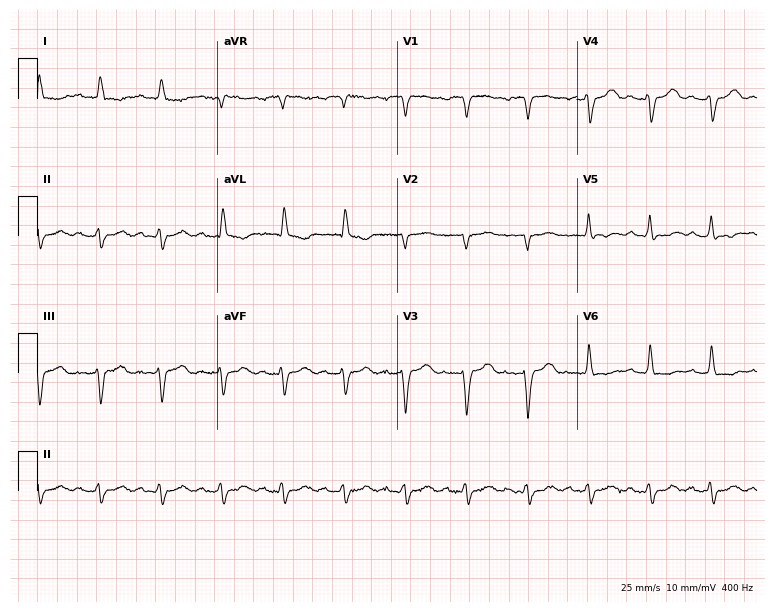
Electrocardiogram, a woman, 74 years old. Of the six screened findings (first-degree AV block, right bundle branch block, left bundle branch block, sinus bradycardia, atrial fibrillation, sinus tachycardia), none is recorded. Only these six findings were labelled.